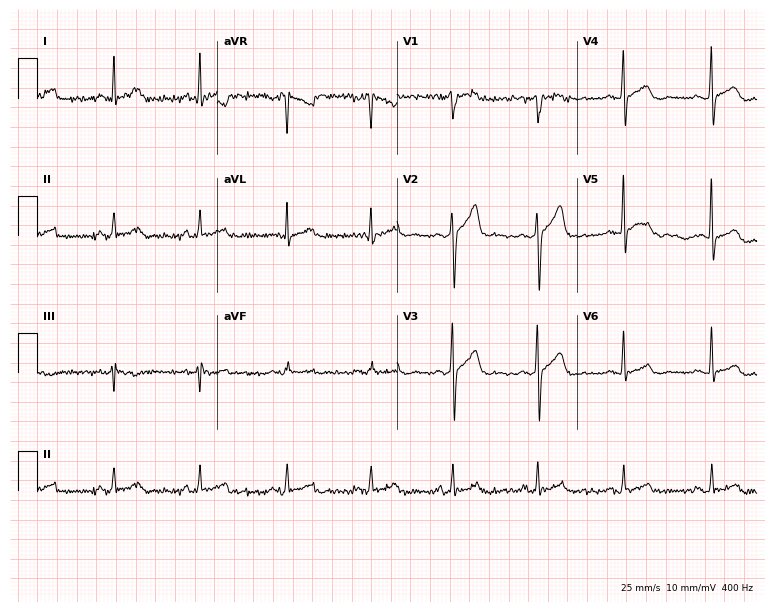
Electrocardiogram, a male patient, 52 years old. Overall reading on record: normal ECG.